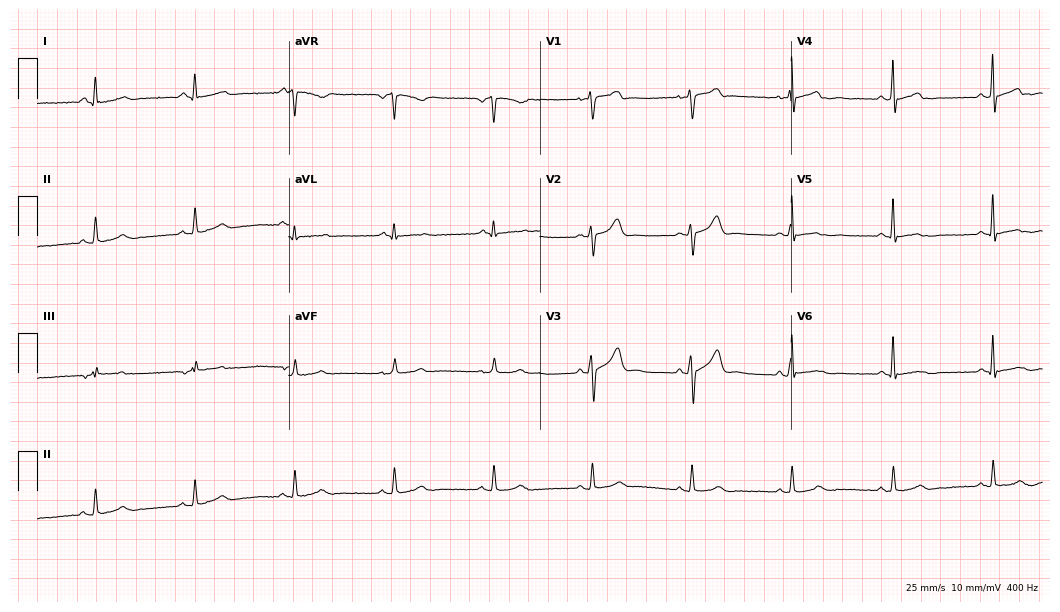
Electrocardiogram (10.2-second recording at 400 Hz), a 49-year-old male. Overall reading on record: normal ECG.